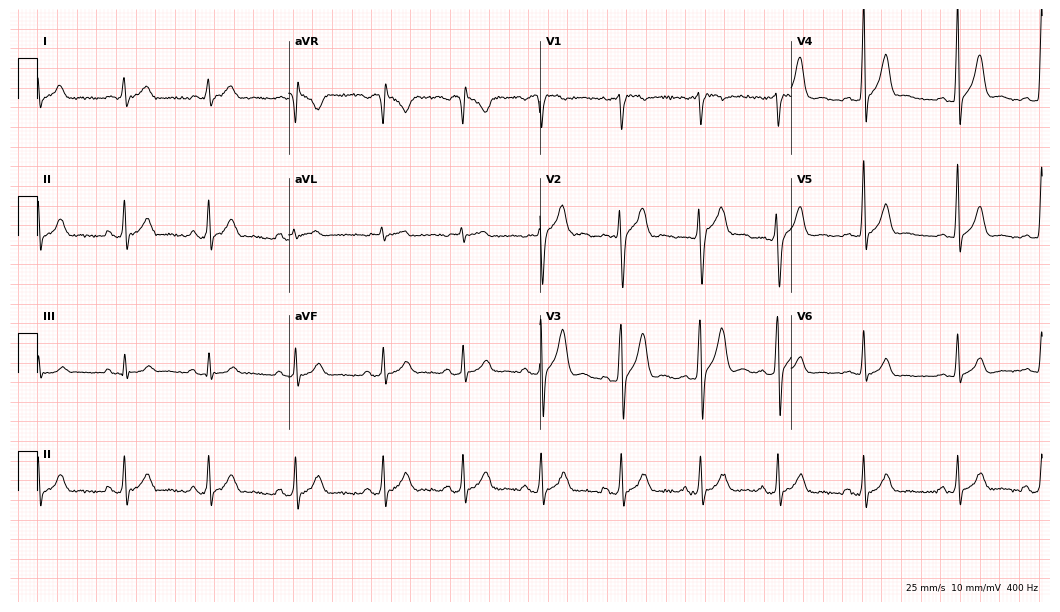
Electrocardiogram (10.2-second recording at 400 Hz), a 41-year-old man. Overall reading on record: normal ECG.